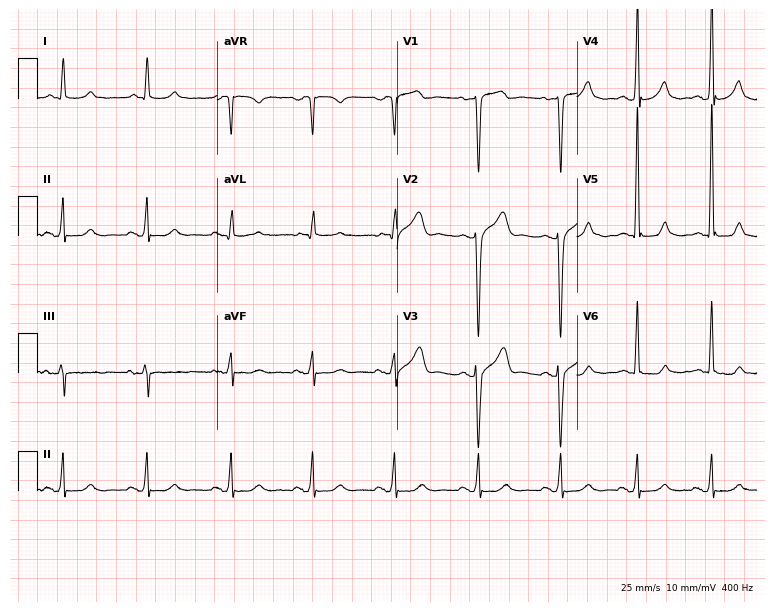
Electrocardiogram, a 60-year-old male patient. Of the six screened findings (first-degree AV block, right bundle branch block, left bundle branch block, sinus bradycardia, atrial fibrillation, sinus tachycardia), none is recorded.